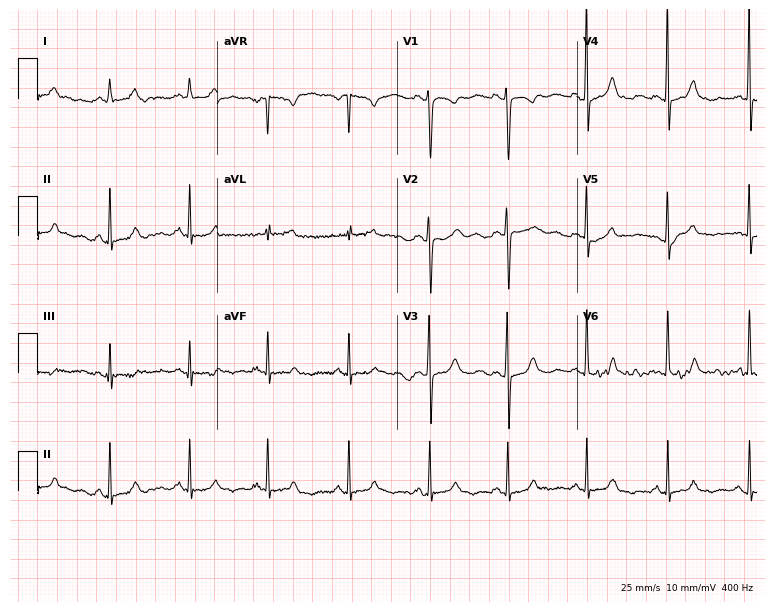
Electrocardiogram, a female, 26 years old. Overall reading on record: normal ECG.